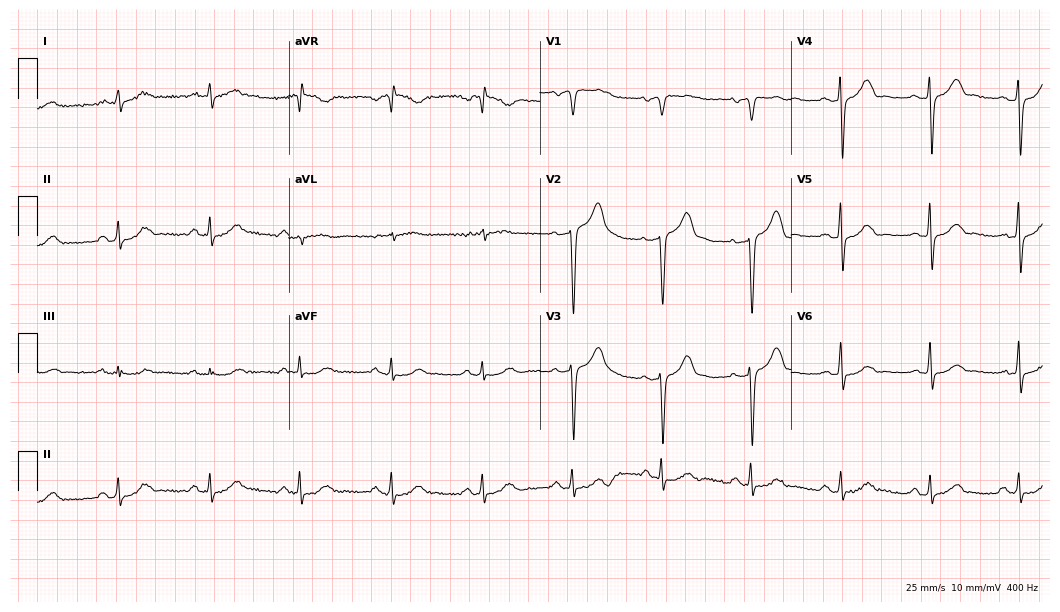
ECG — a male patient, 72 years old. Labelled as a normal ECG.